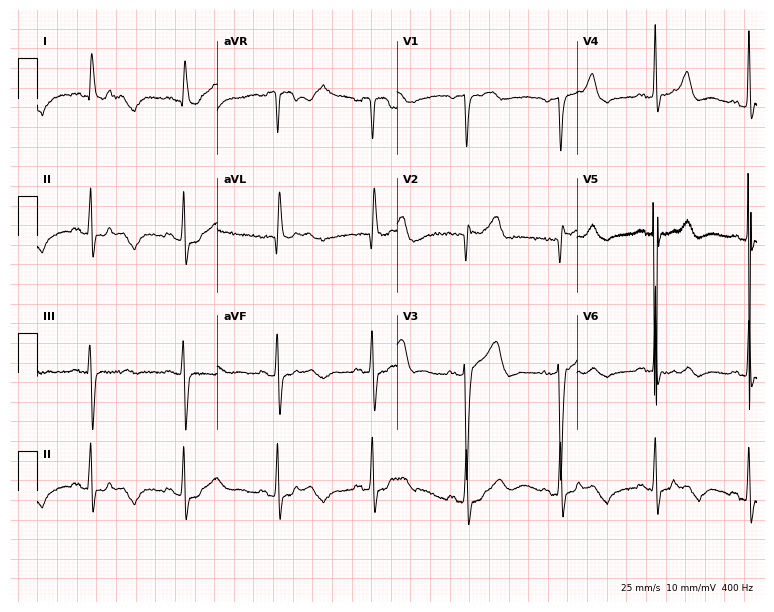
Resting 12-lead electrocardiogram (7.3-second recording at 400 Hz). Patient: an 85-year-old female. None of these six findings is recorded: first-degree AV block, right bundle branch block, left bundle branch block, sinus bradycardia, atrial fibrillation, sinus tachycardia. Other findings, if any, are not listed.